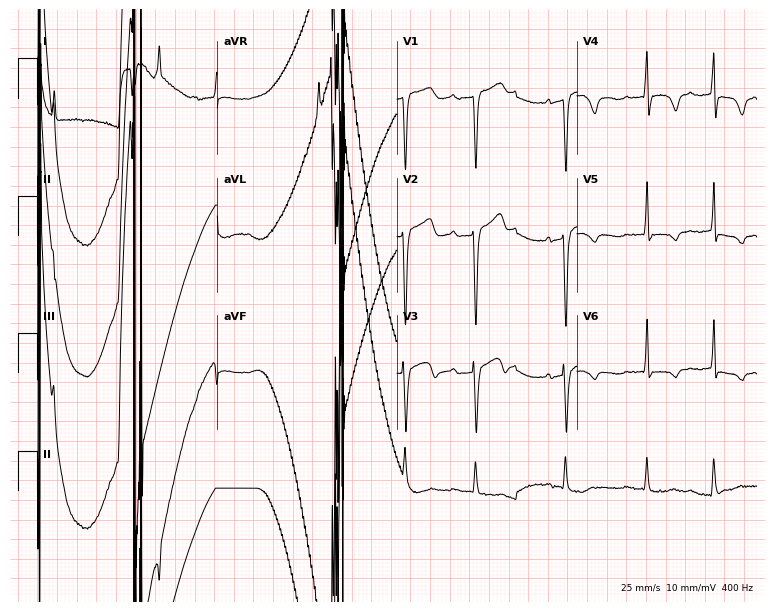
ECG (7.3-second recording at 400 Hz) — a man, 78 years old. Screened for six findings — first-degree AV block, right bundle branch block, left bundle branch block, sinus bradycardia, atrial fibrillation, sinus tachycardia — none is recorded.